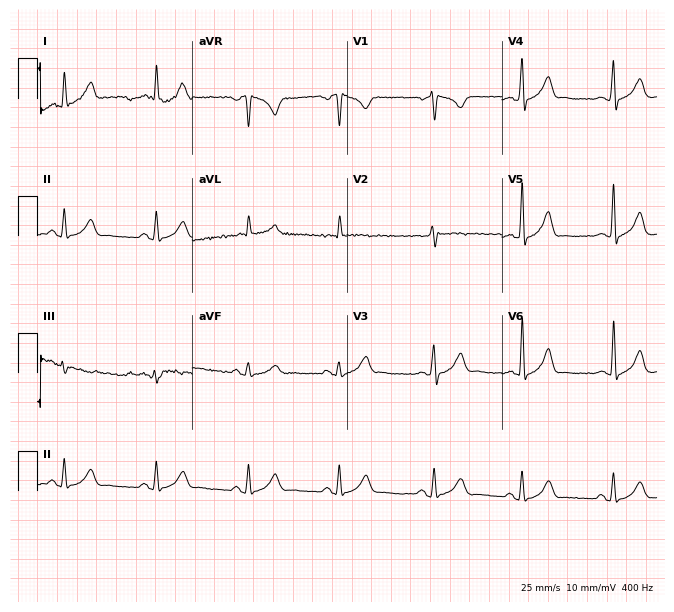
12-lead ECG from a male patient, 26 years old. Labelled as a normal ECG.